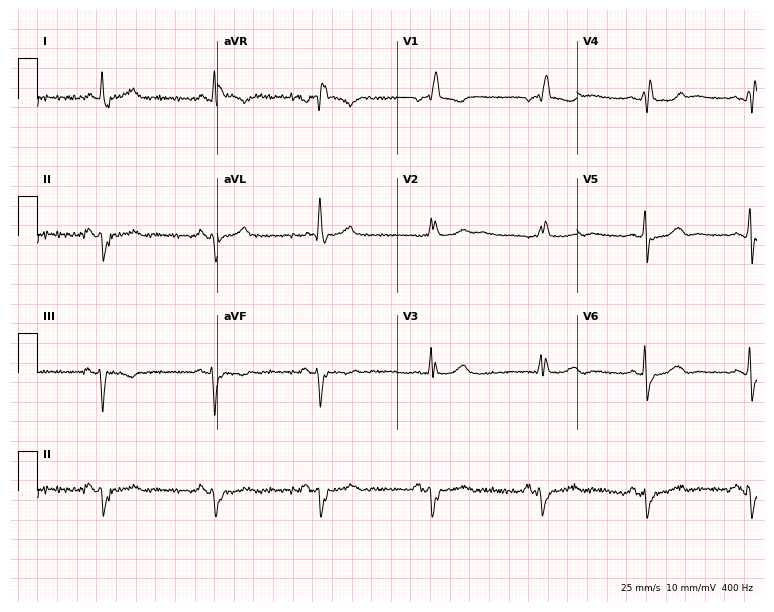
Resting 12-lead electrocardiogram (7.3-second recording at 400 Hz). Patient: an 83-year-old female. The tracing shows right bundle branch block.